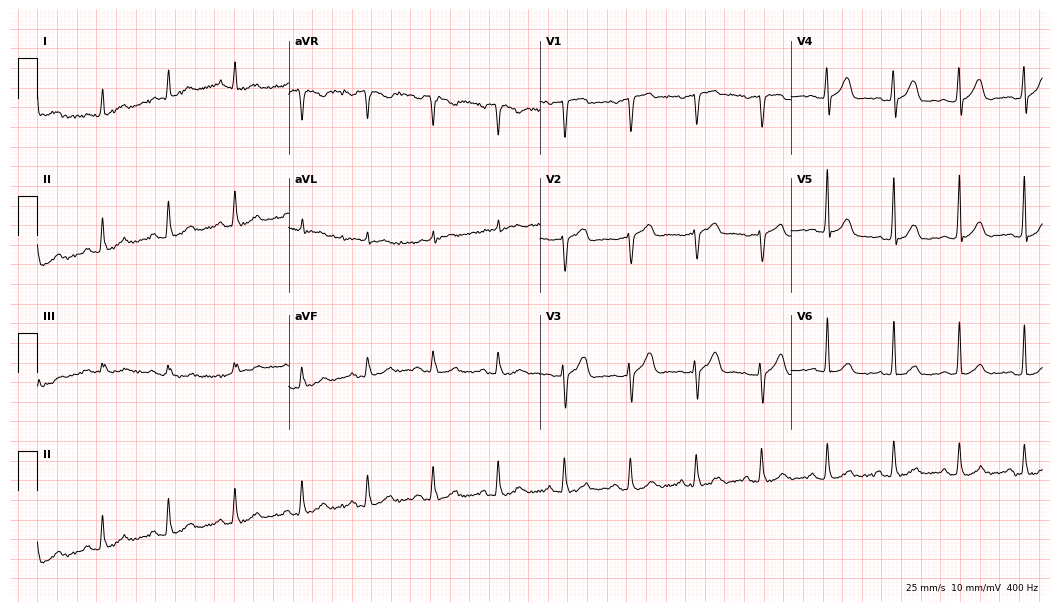
Electrocardiogram, a 65-year-old man. Overall reading on record: normal ECG.